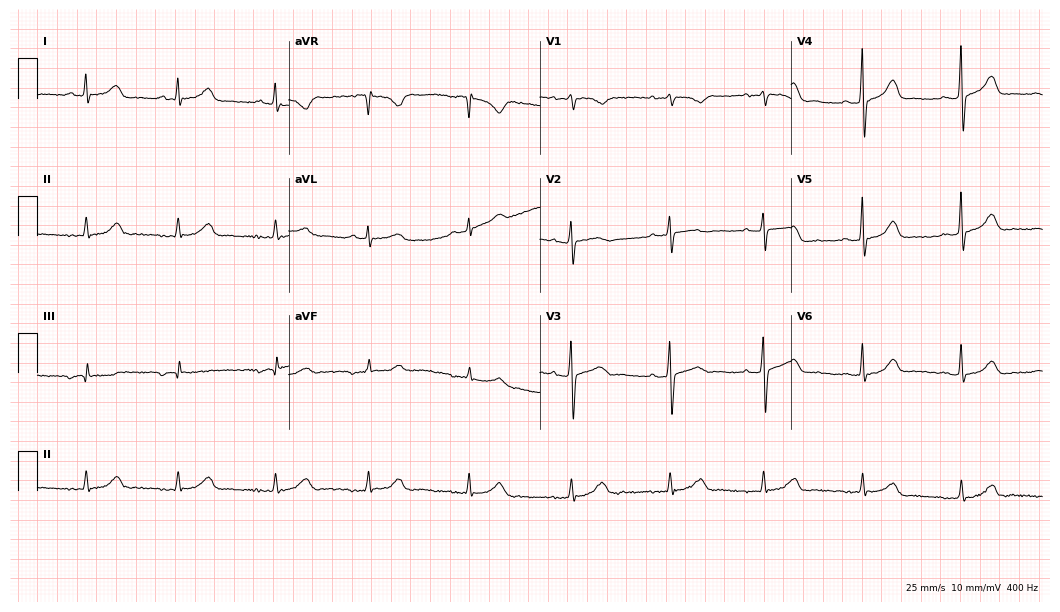
12-lead ECG from a female, 46 years old. No first-degree AV block, right bundle branch block (RBBB), left bundle branch block (LBBB), sinus bradycardia, atrial fibrillation (AF) or sinus tachycardia recorded for this tracing. Only these six findings were labelled.